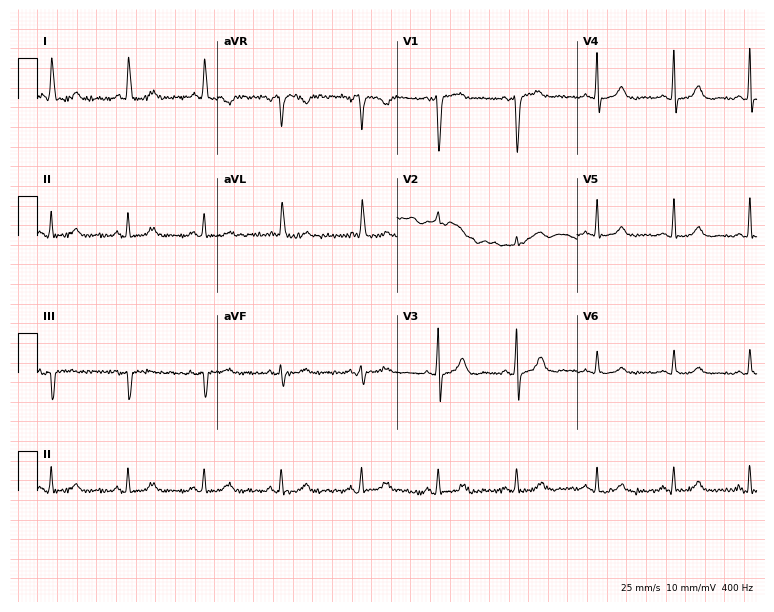
ECG (7.3-second recording at 400 Hz) — a 73-year-old male patient. Labelled as a normal ECG.